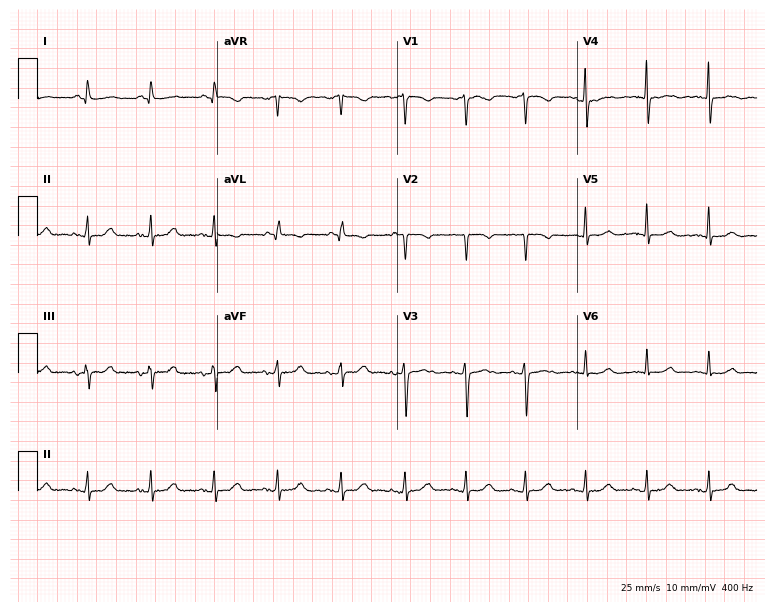
12-lead ECG from a female patient, 52 years old (7.3-second recording at 400 Hz). No first-degree AV block, right bundle branch block (RBBB), left bundle branch block (LBBB), sinus bradycardia, atrial fibrillation (AF) or sinus tachycardia recorded for this tracing. Findings outside these six are not listed.